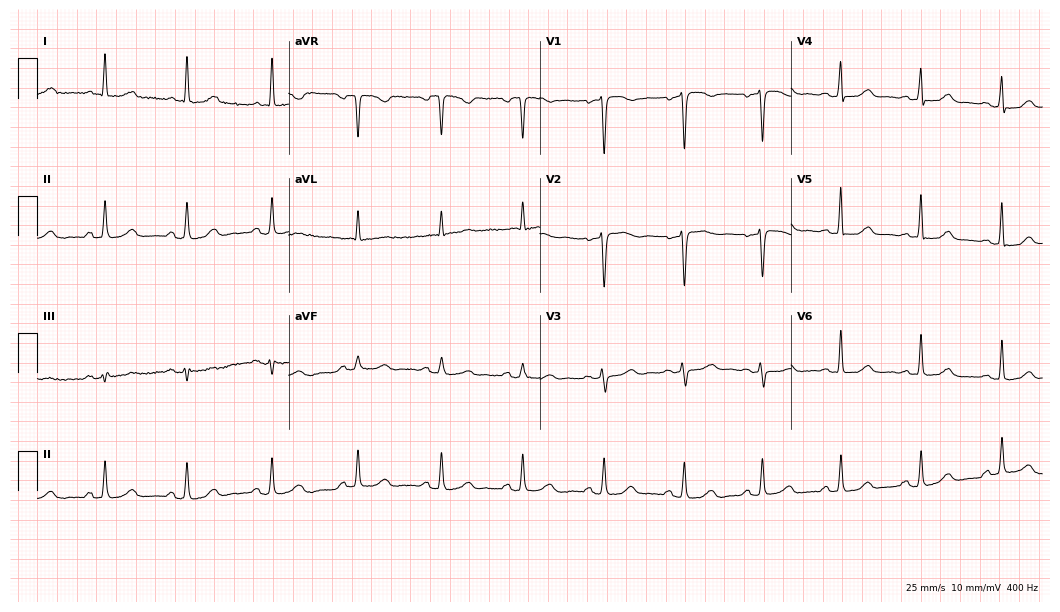
Resting 12-lead electrocardiogram. Patient: a 53-year-old female. Read as a normal ECG.